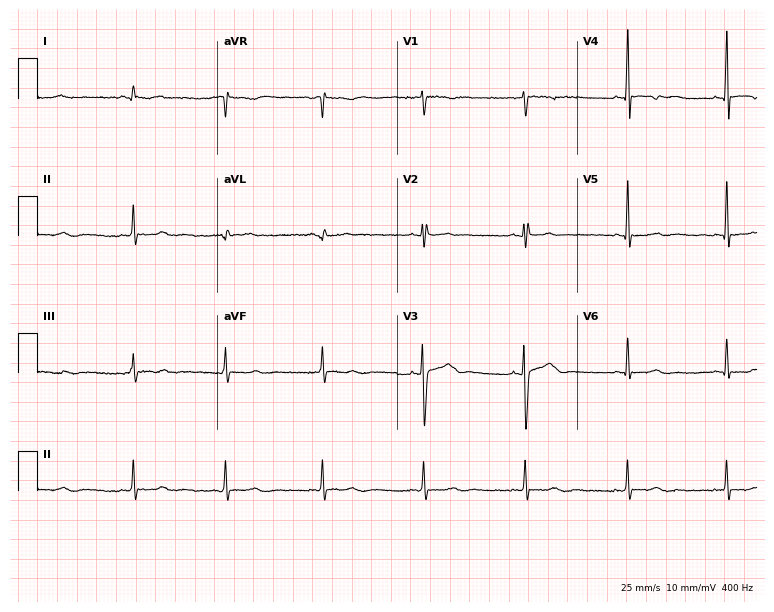
12-lead ECG from a female patient, 30 years old. Screened for six findings — first-degree AV block, right bundle branch block, left bundle branch block, sinus bradycardia, atrial fibrillation, sinus tachycardia — none is recorded. Other findings, if any, are not listed.